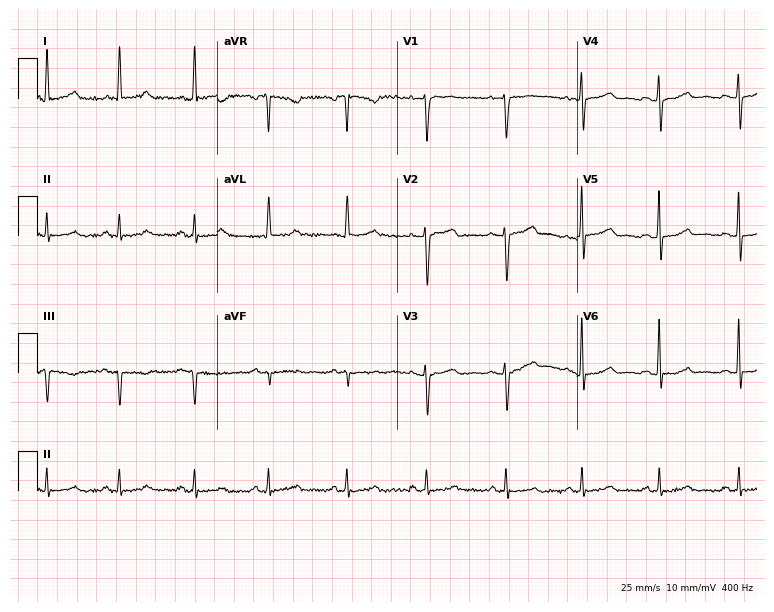
ECG (7.3-second recording at 400 Hz) — a 45-year-old woman. Screened for six findings — first-degree AV block, right bundle branch block, left bundle branch block, sinus bradycardia, atrial fibrillation, sinus tachycardia — none is recorded. Other findings, if any, are not listed.